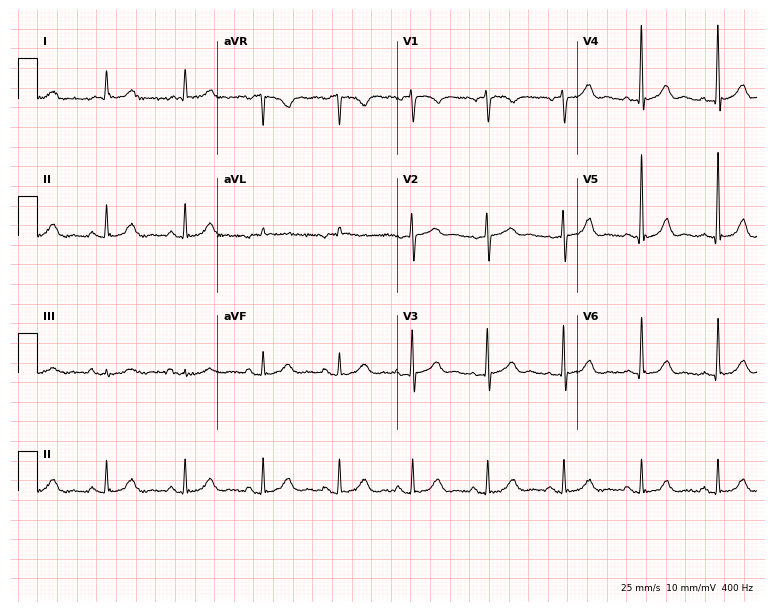
12-lead ECG from a 67-year-old male (7.3-second recording at 400 Hz). Recorded interpretation: within normal limits.